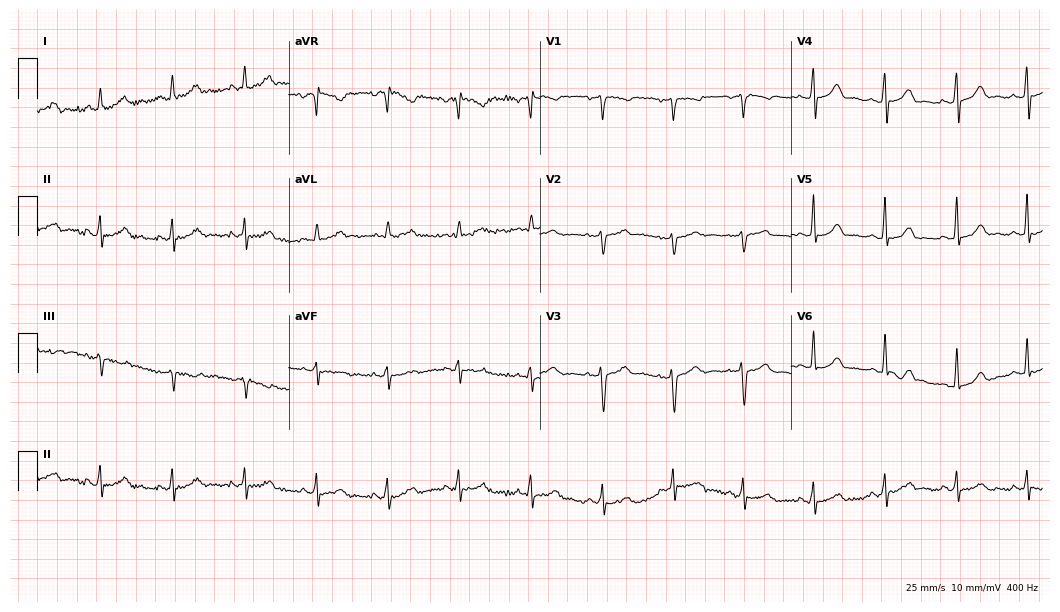
Standard 12-lead ECG recorded from a female, 44 years old (10.2-second recording at 400 Hz). Read as a normal ECG.